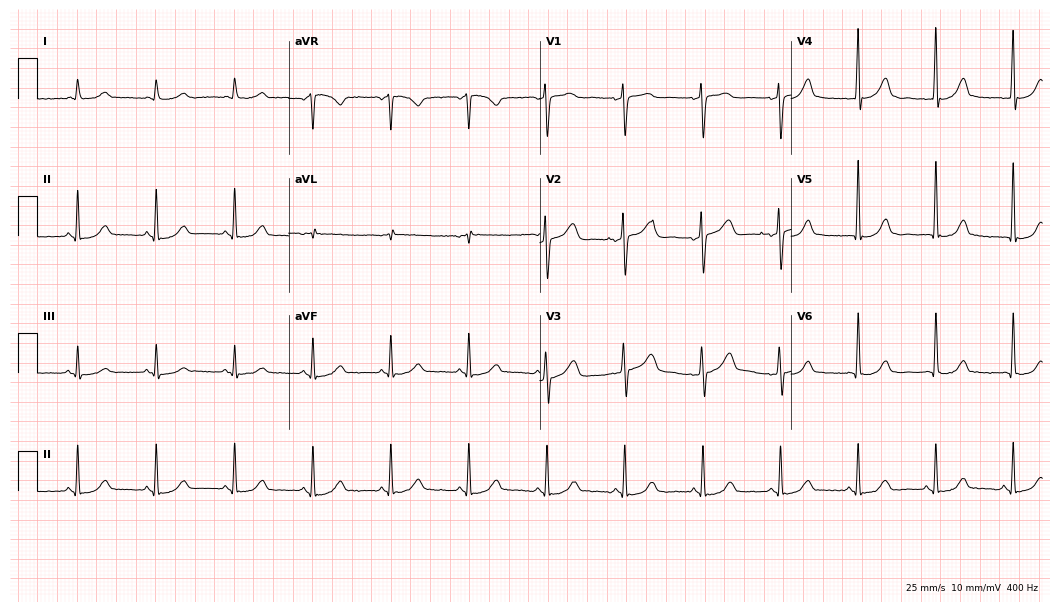
Resting 12-lead electrocardiogram. Patient: a 74-year-old female. Read as a normal ECG.